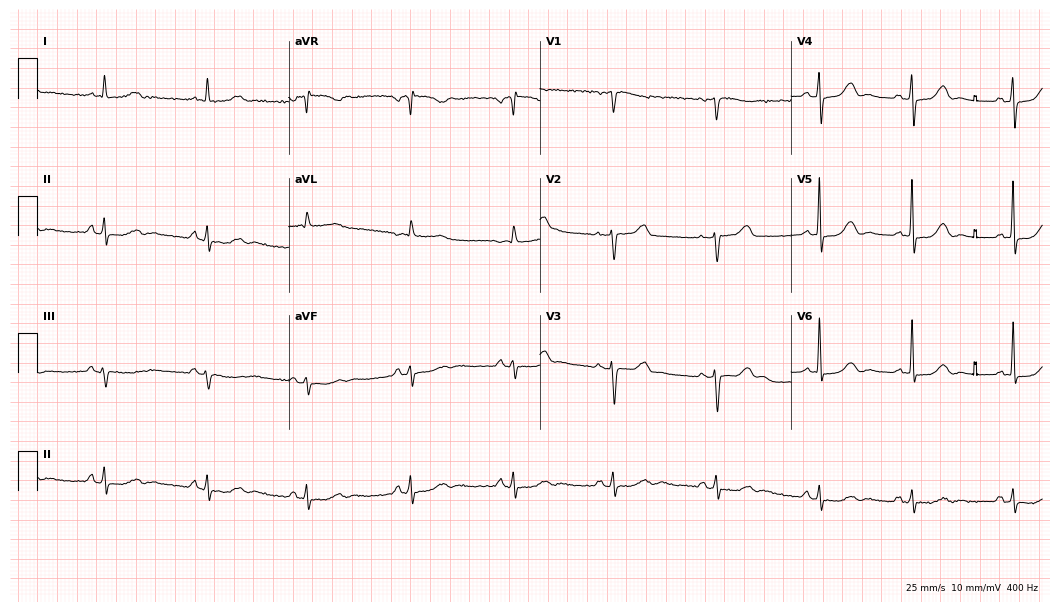
12-lead ECG from a woman, 85 years old. Labelled as a normal ECG.